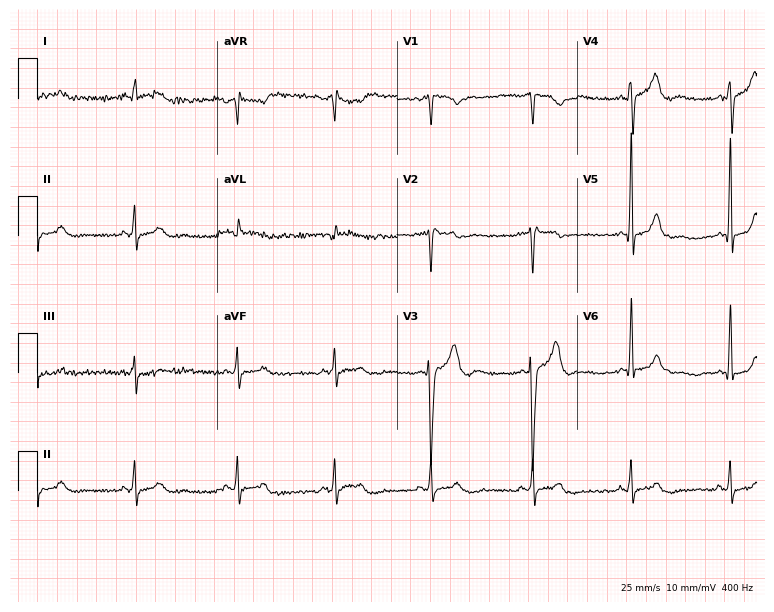
12-lead ECG from a 52-year-old man. Labelled as a normal ECG.